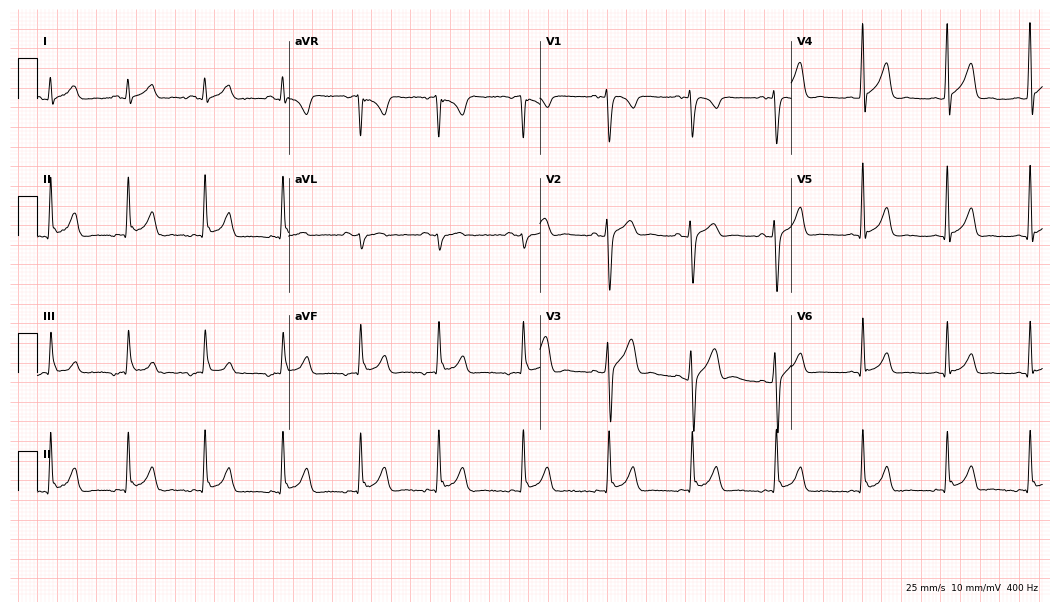
12-lead ECG (10.2-second recording at 400 Hz) from a man, 81 years old. Screened for six findings — first-degree AV block, right bundle branch block (RBBB), left bundle branch block (LBBB), sinus bradycardia, atrial fibrillation (AF), sinus tachycardia — none is recorded. Only these six findings were labelled.